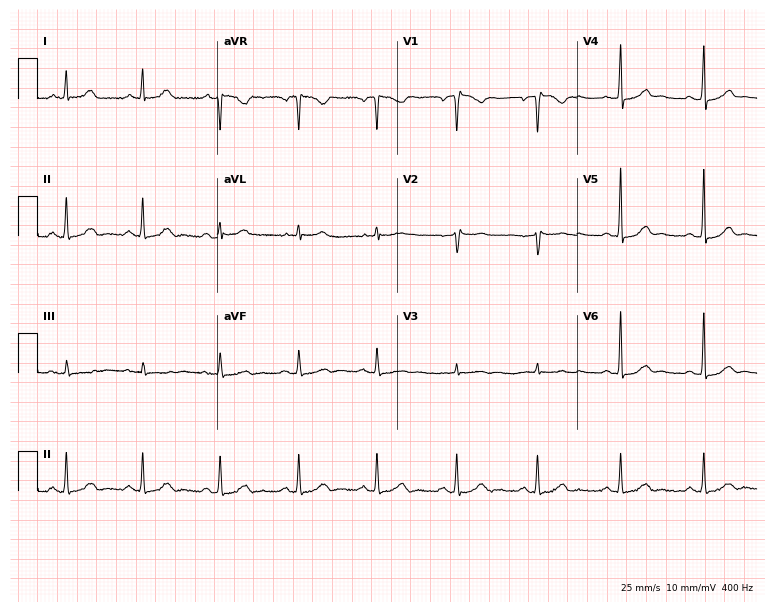
12-lead ECG from a female patient, 56 years old. Labelled as a normal ECG.